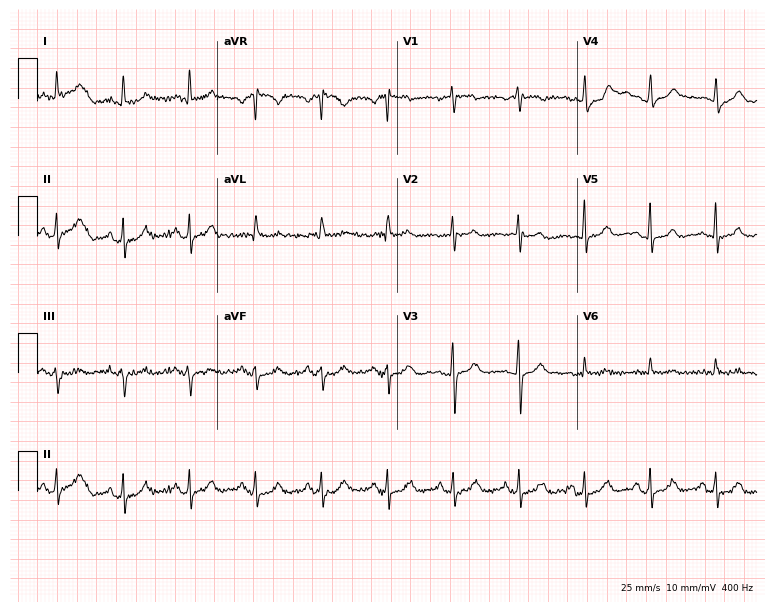
12-lead ECG (7.3-second recording at 400 Hz) from a 69-year-old female. Labelled as a normal ECG.